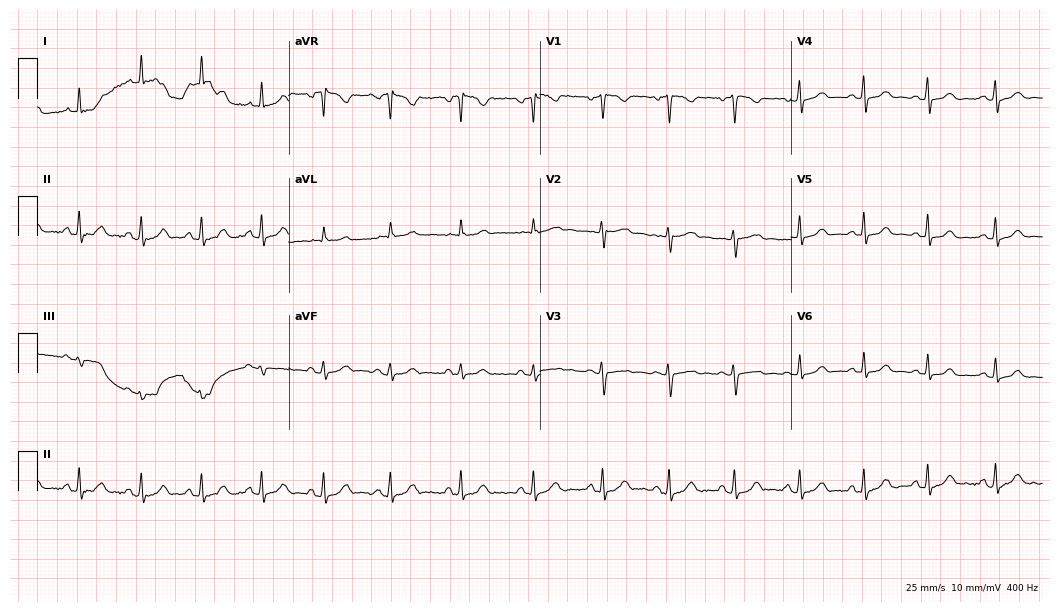
ECG — a female, 23 years old. Screened for six findings — first-degree AV block, right bundle branch block, left bundle branch block, sinus bradycardia, atrial fibrillation, sinus tachycardia — none is recorded. Findings outside these six are not listed.